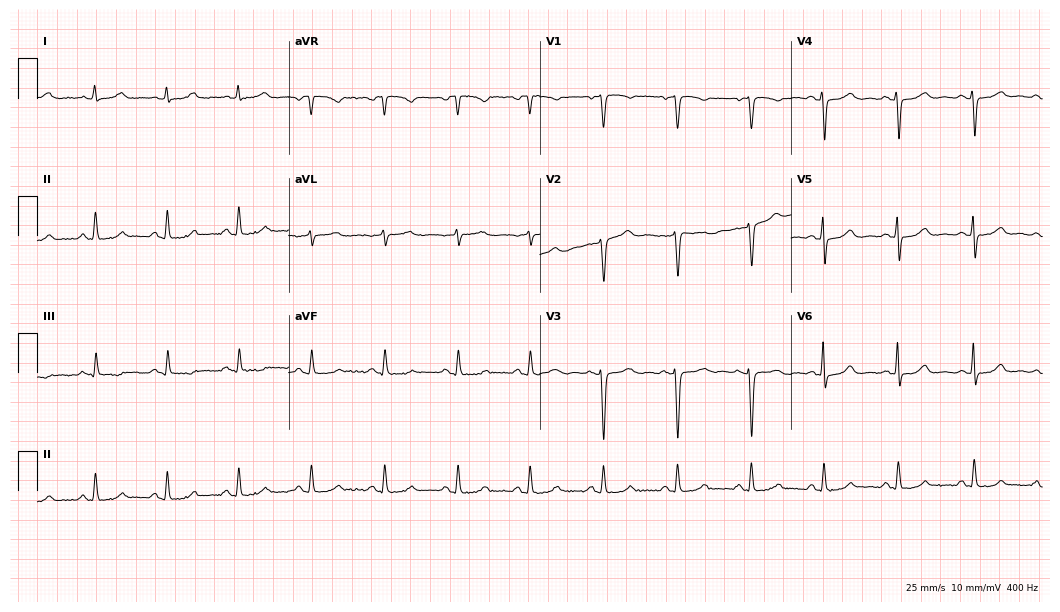
ECG — a female, 46 years old. Screened for six findings — first-degree AV block, right bundle branch block, left bundle branch block, sinus bradycardia, atrial fibrillation, sinus tachycardia — none is recorded.